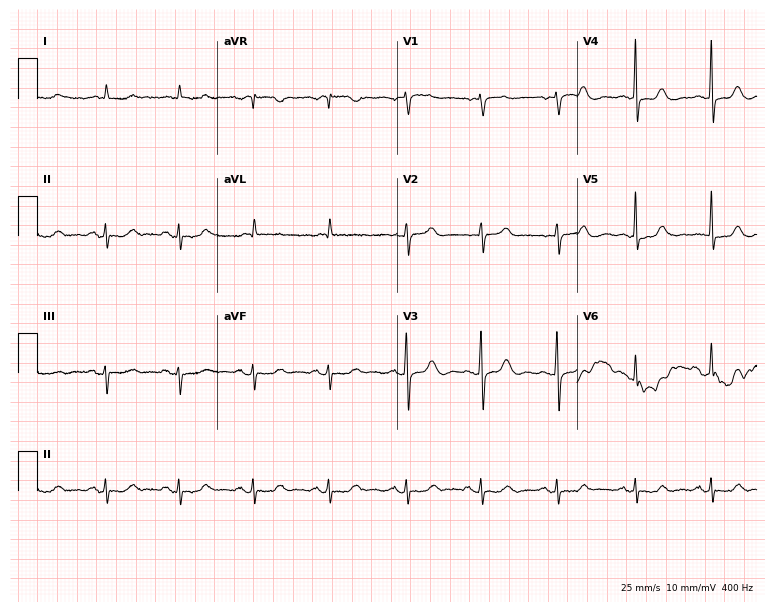
Standard 12-lead ECG recorded from a female patient, 83 years old. None of these six findings is recorded: first-degree AV block, right bundle branch block (RBBB), left bundle branch block (LBBB), sinus bradycardia, atrial fibrillation (AF), sinus tachycardia. Only these six findings were labelled.